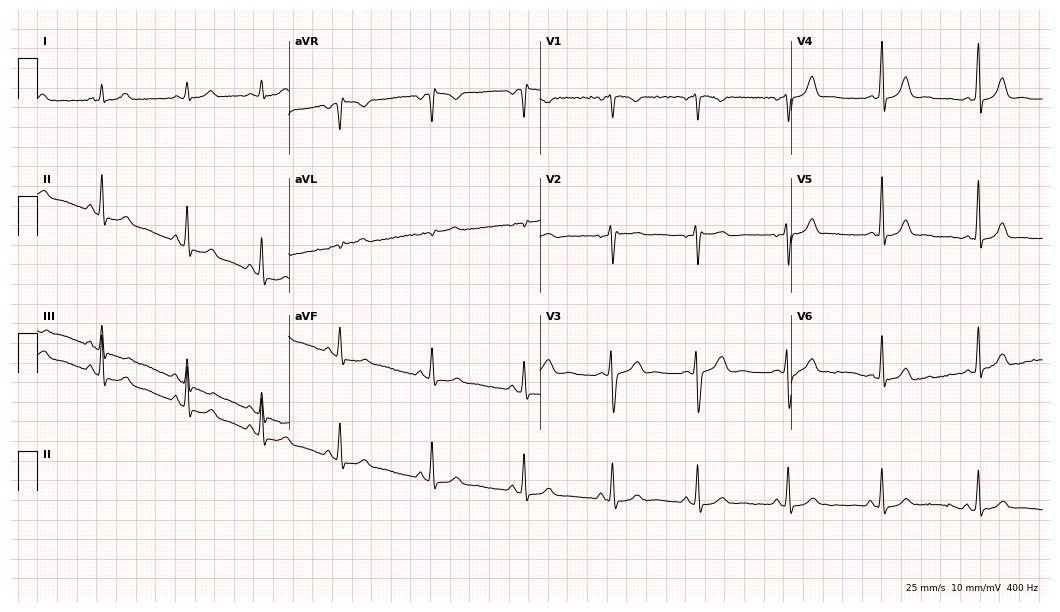
ECG — a 33-year-old woman. Labelled as a normal ECG.